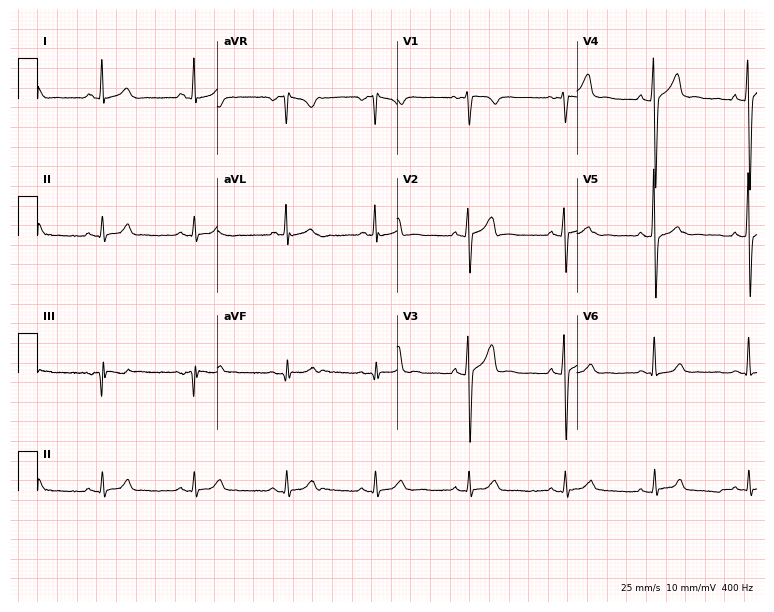
ECG — a male, 29 years old. Labelled as a normal ECG.